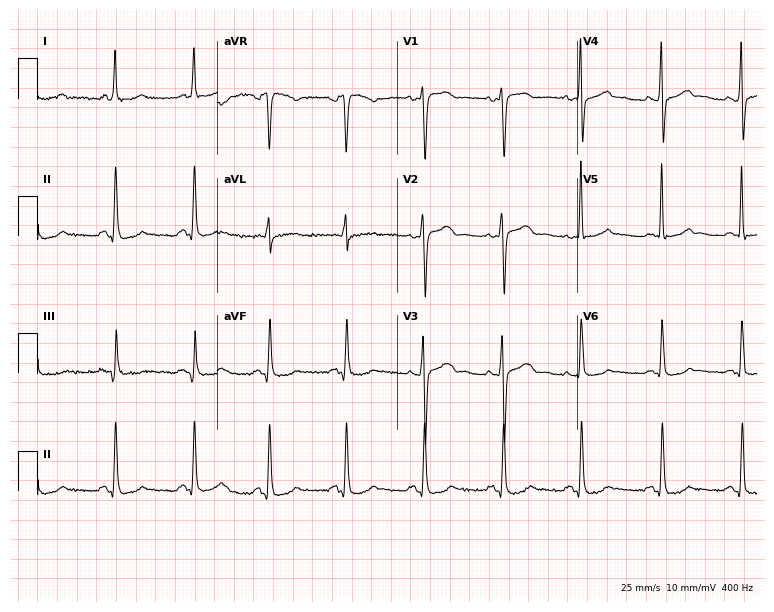
ECG (7.3-second recording at 400 Hz) — a 46-year-old female. Labelled as a normal ECG.